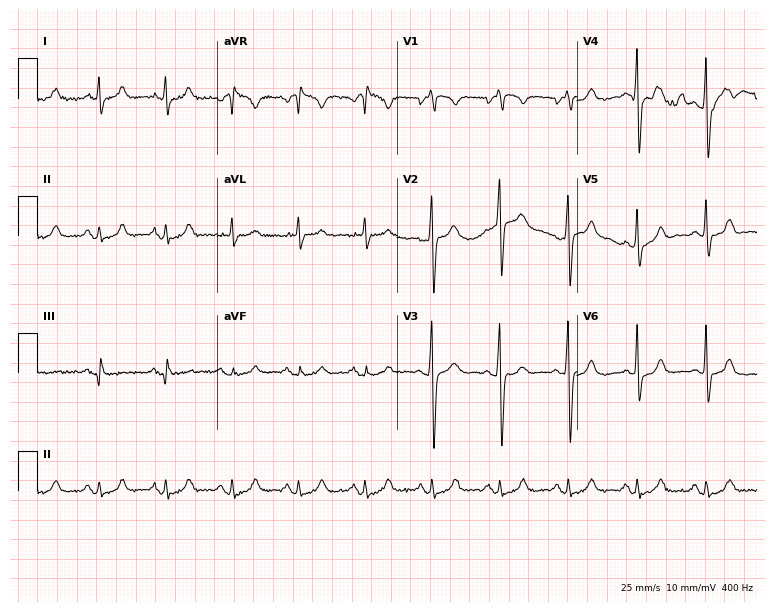
Resting 12-lead electrocardiogram (7.3-second recording at 400 Hz). Patient: a man, 49 years old. Read as a normal ECG.